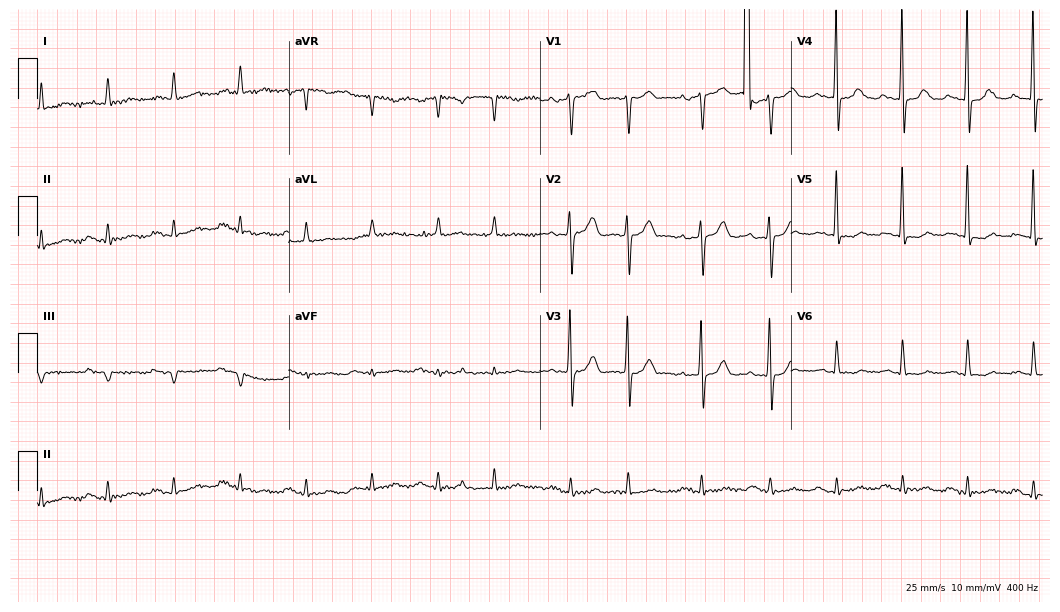
Resting 12-lead electrocardiogram (10.2-second recording at 400 Hz). Patient: a male, 84 years old. None of these six findings is recorded: first-degree AV block, right bundle branch block, left bundle branch block, sinus bradycardia, atrial fibrillation, sinus tachycardia. Findings outside these six are not listed.